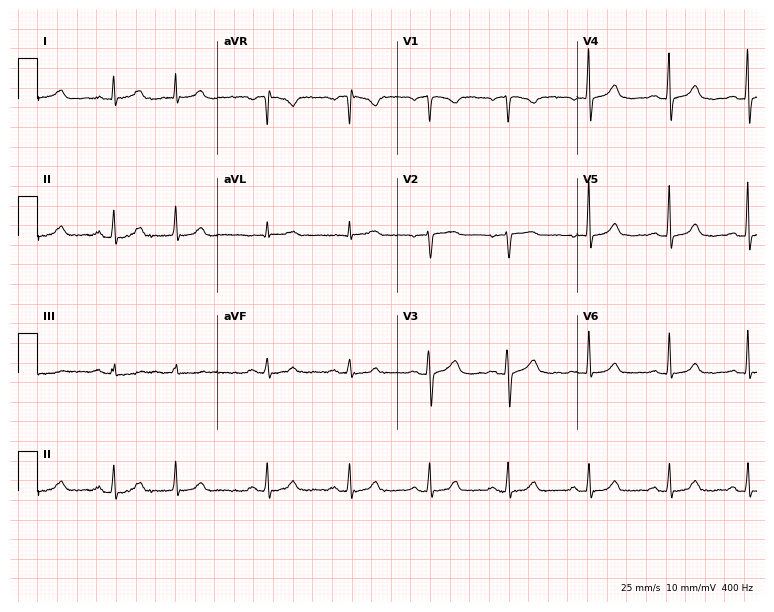
Electrocardiogram (7.3-second recording at 400 Hz), a 77-year-old female patient. Overall reading on record: normal ECG.